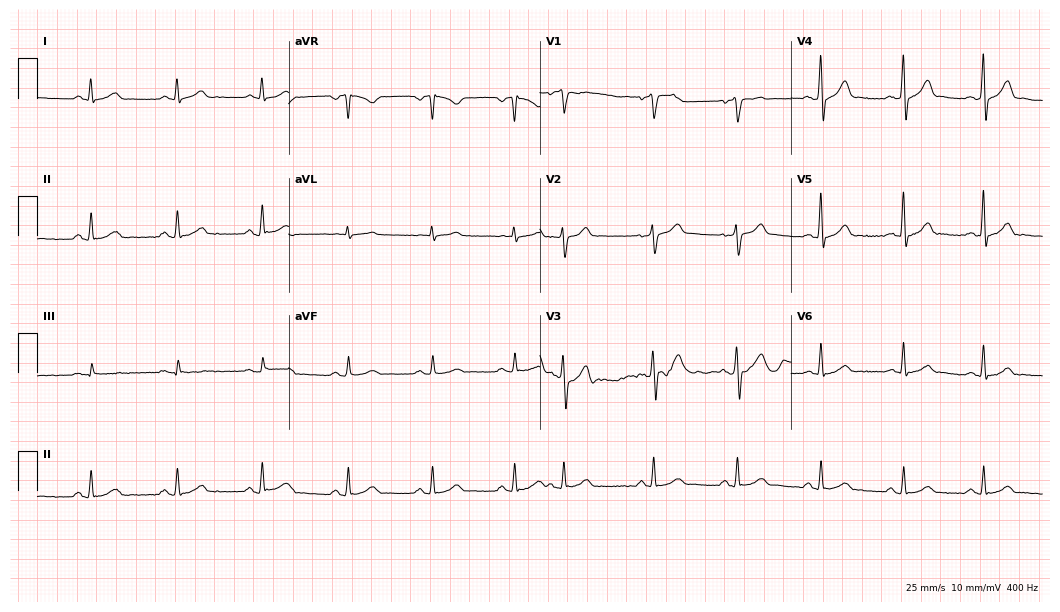
Resting 12-lead electrocardiogram (10.2-second recording at 400 Hz). Patient: a male, 48 years old. Read as a normal ECG.